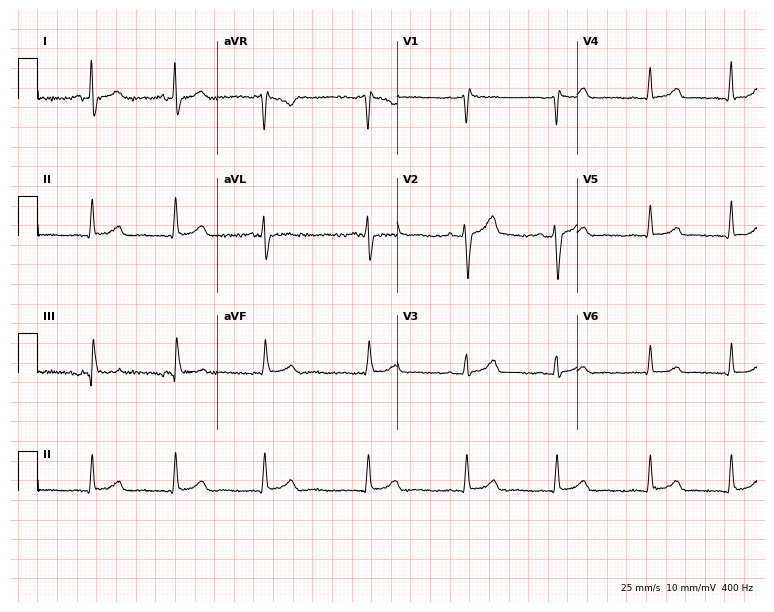
Resting 12-lead electrocardiogram (7.3-second recording at 400 Hz). Patient: a 35-year-old woman. Read as a normal ECG.